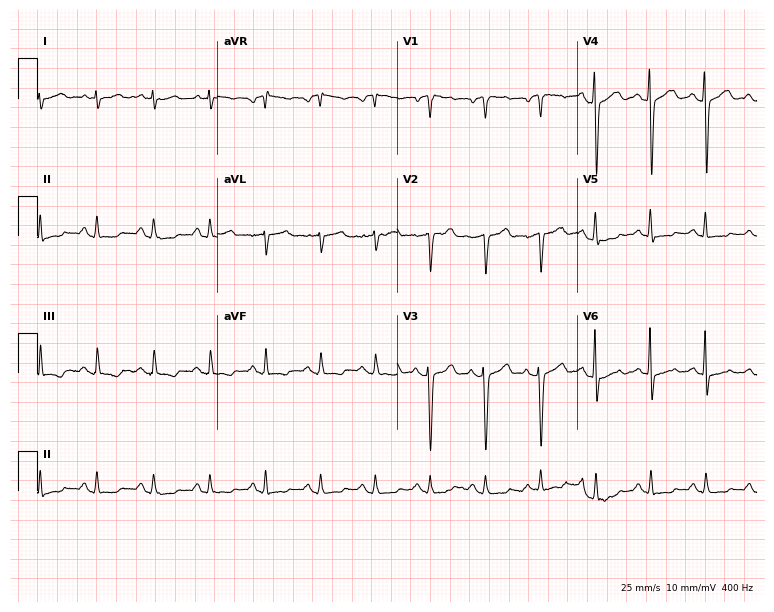
Electrocardiogram, a male patient, 66 years old. Interpretation includes sinus tachycardia (a sinus rate of 100 beats per minute or more).